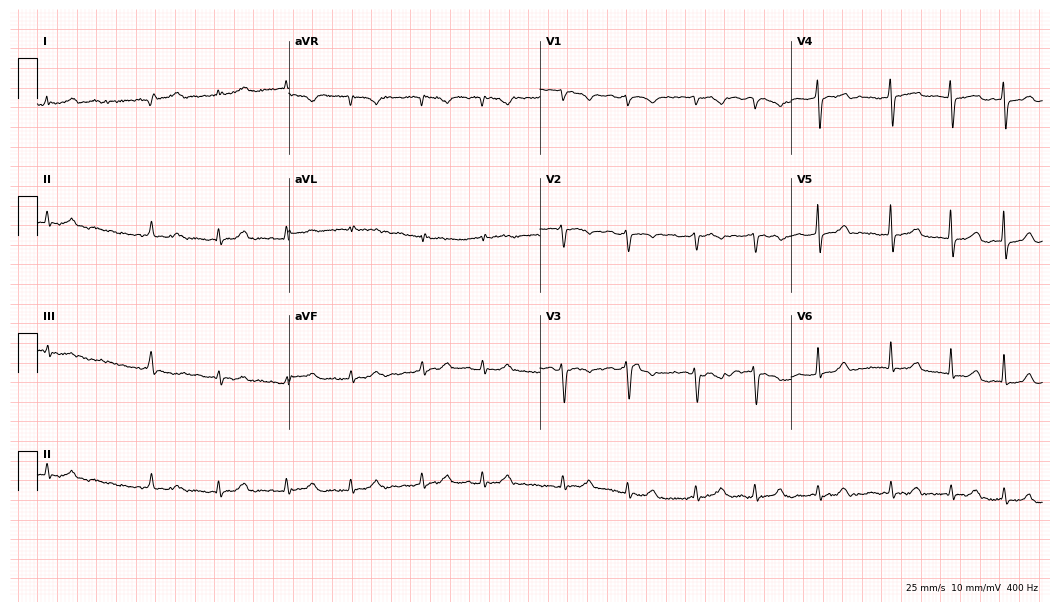
ECG — a female patient, 60 years old. Findings include atrial fibrillation.